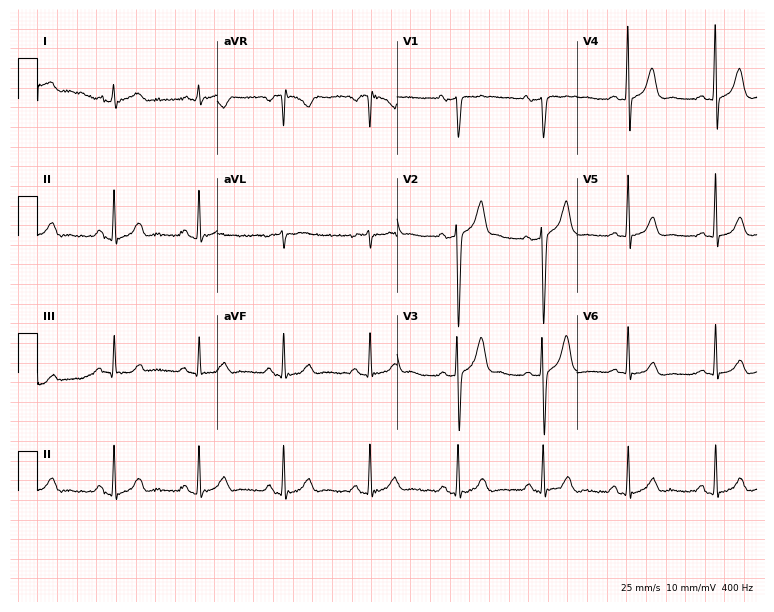
Electrocardiogram, a 73-year-old male patient. Of the six screened findings (first-degree AV block, right bundle branch block (RBBB), left bundle branch block (LBBB), sinus bradycardia, atrial fibrillation (AF), sinus tachycardia), none is recorded. Findings outside these six are not listed.